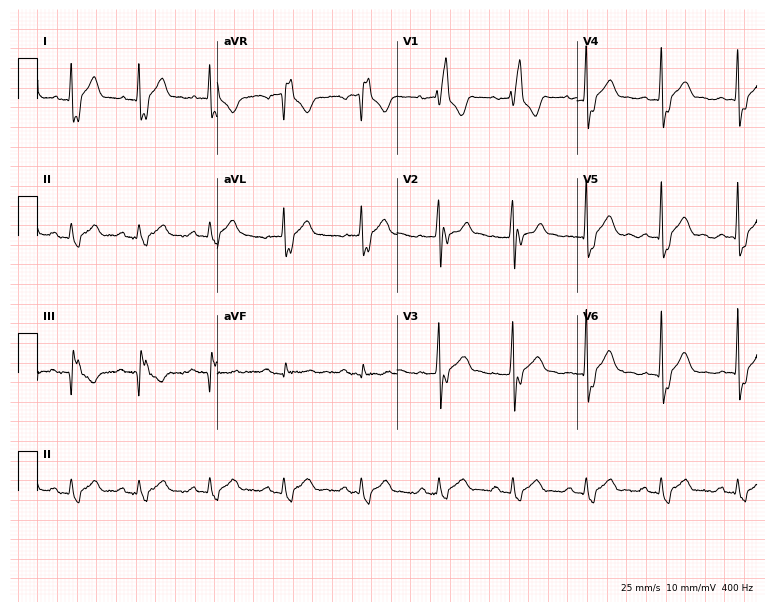
ECG — a male patient, 26 years old. Findings include right bundle branch block (RBBB).